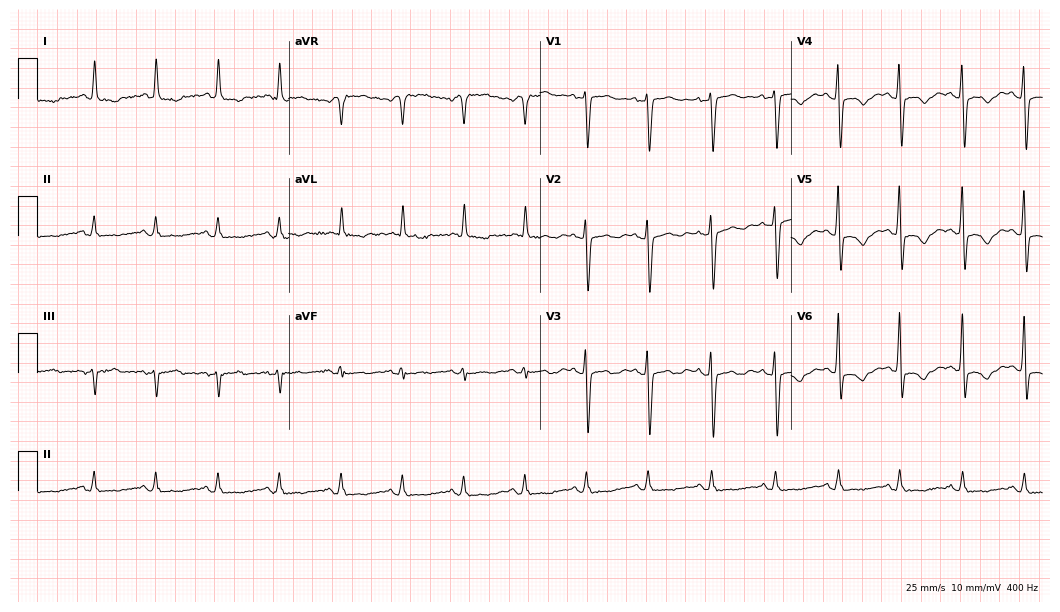
Resting 12-lead electrocardiogram (10.2-second recording at 400 Hz). Patient: a 61-year-old female. Read as a normal ECG.